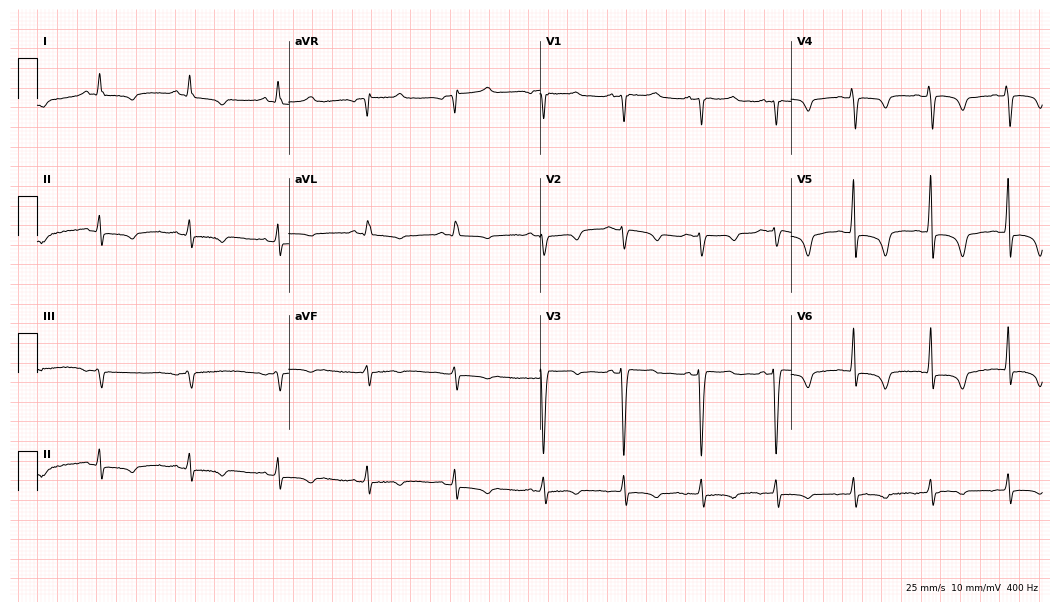
Resting 12-lead electrocardiogram. Patient: a 71-year-old male. None of these six findings is recorded: first-degree AV block, right bundle branch block (RBBB), left bundle branch block (LBBB), sinus bradycardia, atrial fibrillation (AF), sinus tachycardia. Only these six findings were labelled.